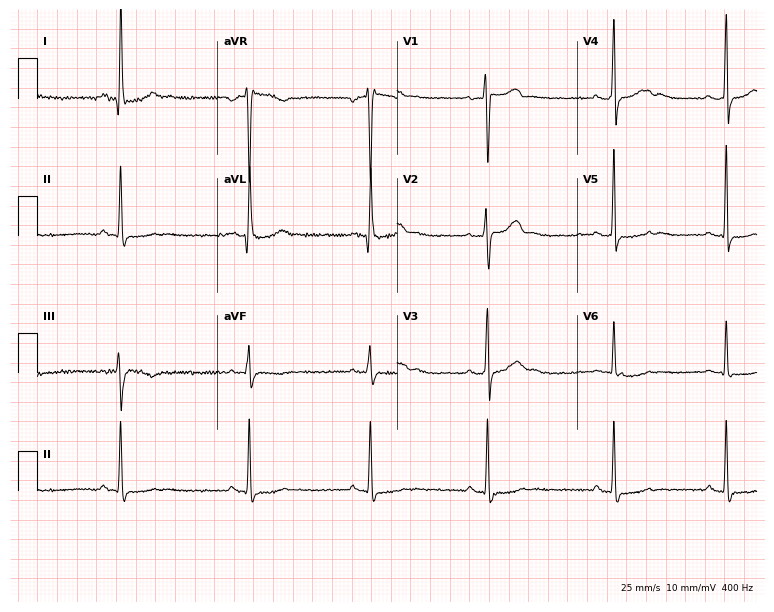
ECG (7.3-second recording at 400 Hz) — a 37-year-old woman. Screened for six findings — first-degree AV block, right bundle branch block, left bundle branch block, sinus bradycardia, atrial fibrillation, sinus tachycardia — none is recorded. Findings outside these six are not listed.